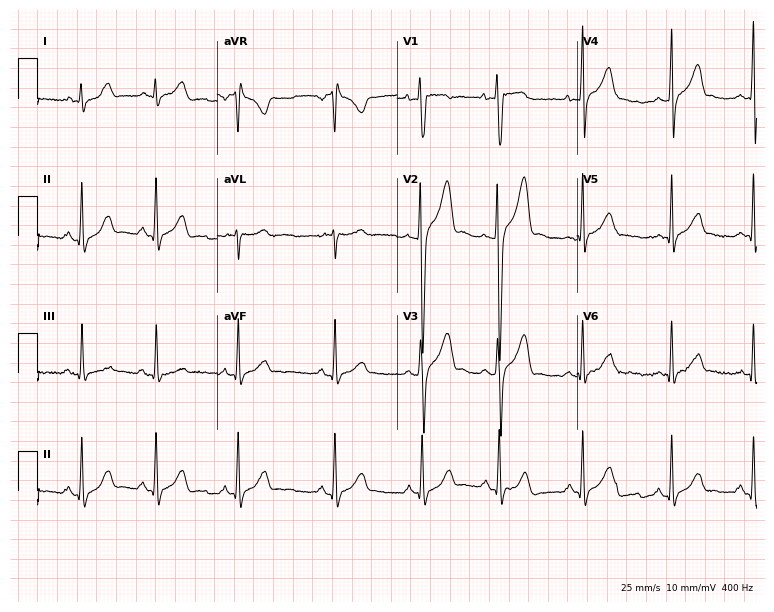
Electrocardiogram, a 20-year-old male. Overall reading on record: normal ECG.